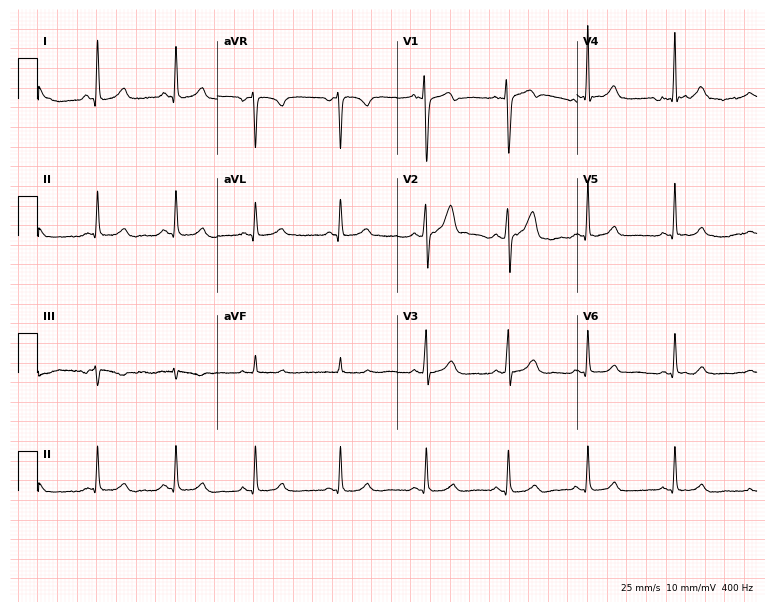
Resting 12-lead electrocardiogram (7.3-second recording at 400 Hz). Patient: a 38-year-old male. Read as a normal ECG.